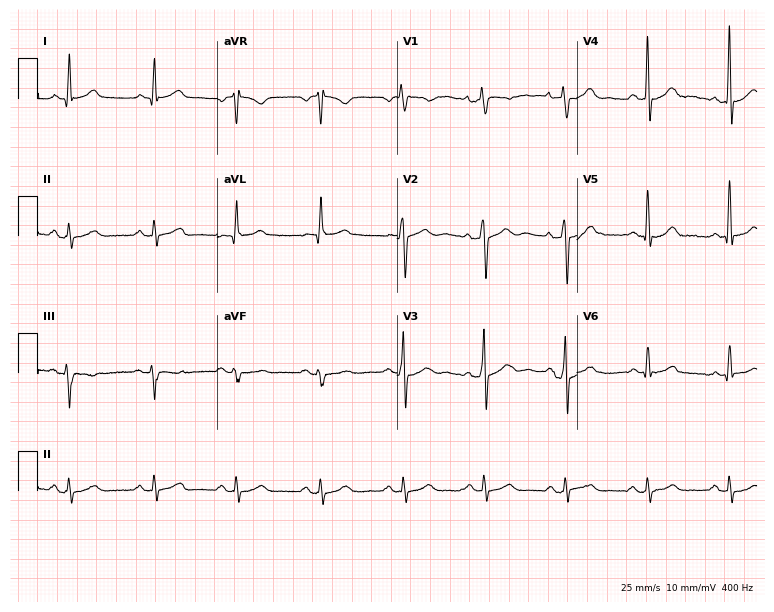
Resting 12-lead electrocardiogram (7.3-second recording at 400 Hz). Patient: a 63-year-old male. None of these six findings is recorded: first-degree AV block, right bundle branch block, left bundle branch block, sinus bradycardia, atrial fibrillation, sinus tachycardia. Findings outside these six are not listed.